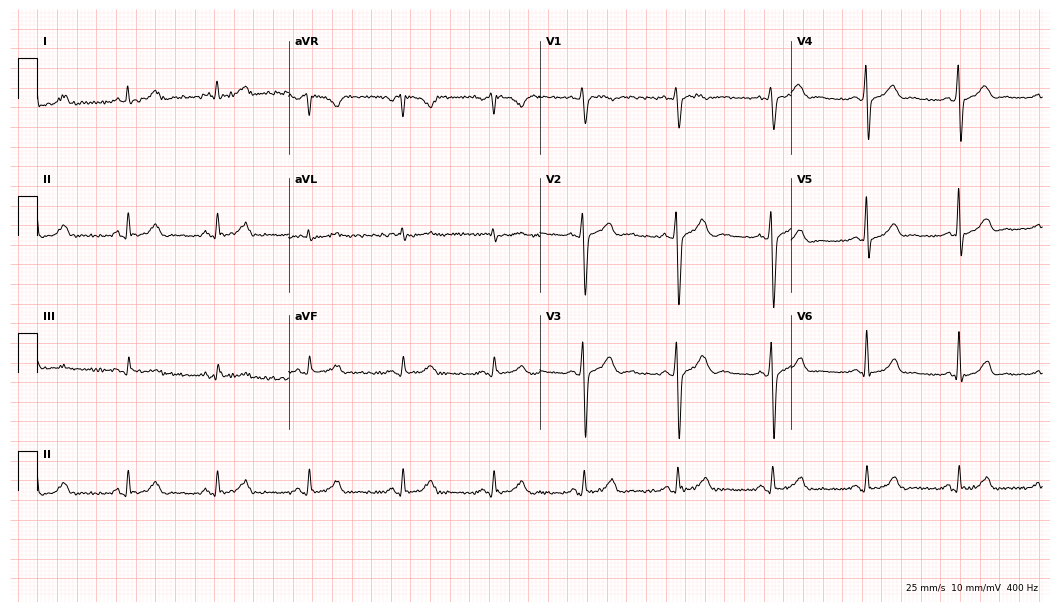
Electrocardiogram, a male patient, 39 years old. Overall reading on record: normal ECG.